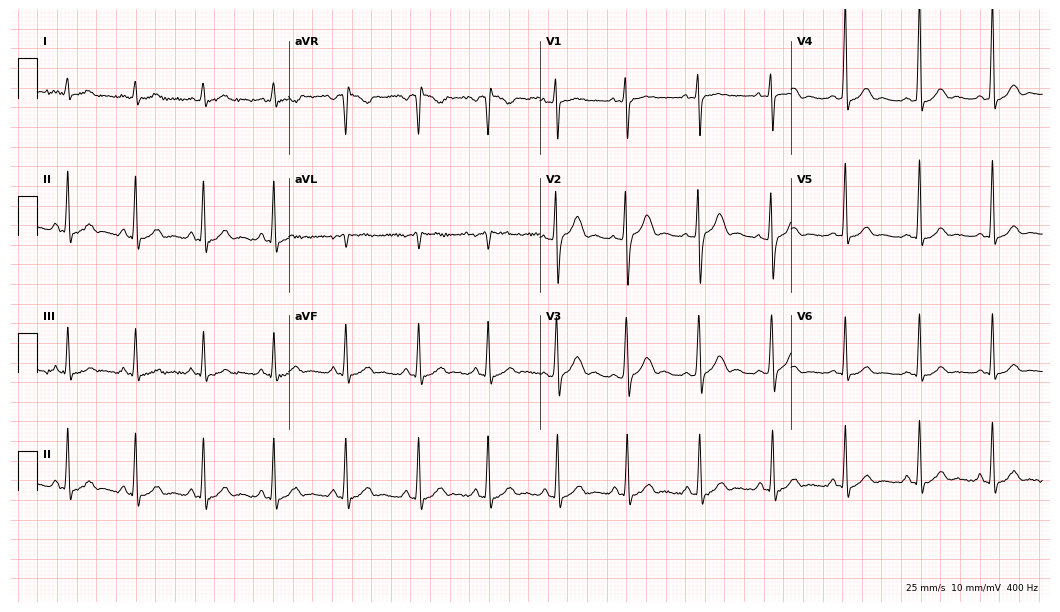
12-lead ECG (10.2-second recording at 400 Hz) from a male patient, 19 years old. Labelled as a normal ECG.